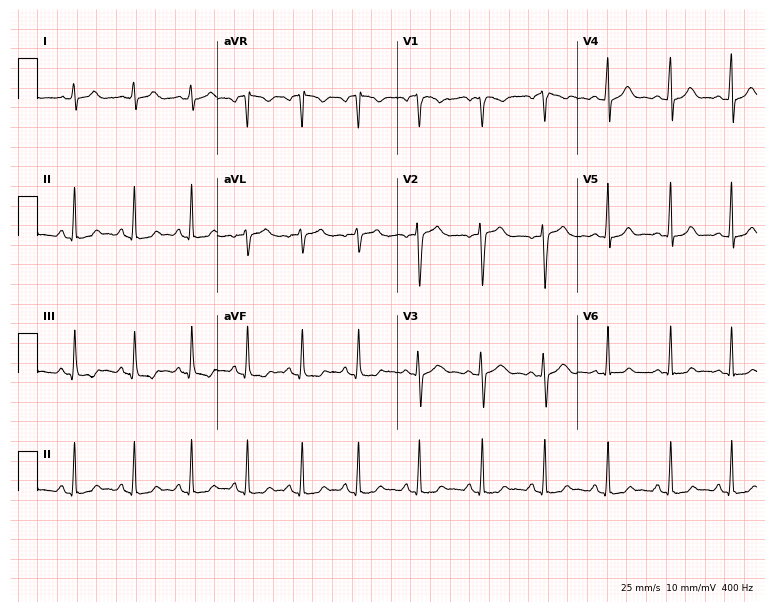
Standard 12-lead ECG recorded from a 24-year-old female (7.3-second recording at 400 Hz). None of these six findings is recorded: first-degree AV block, right bundle branch block, left bundle branch block, sinus bradycardia, atrial fibrillation, sinus tachycardia. Other findings, if any, are not listed.